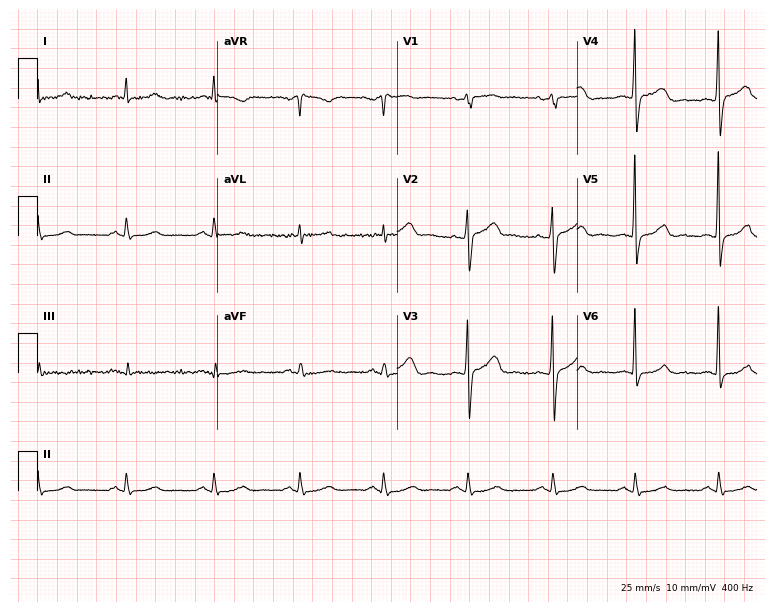
ECG — a man, 62 years old. Labelled as a normal ECG.